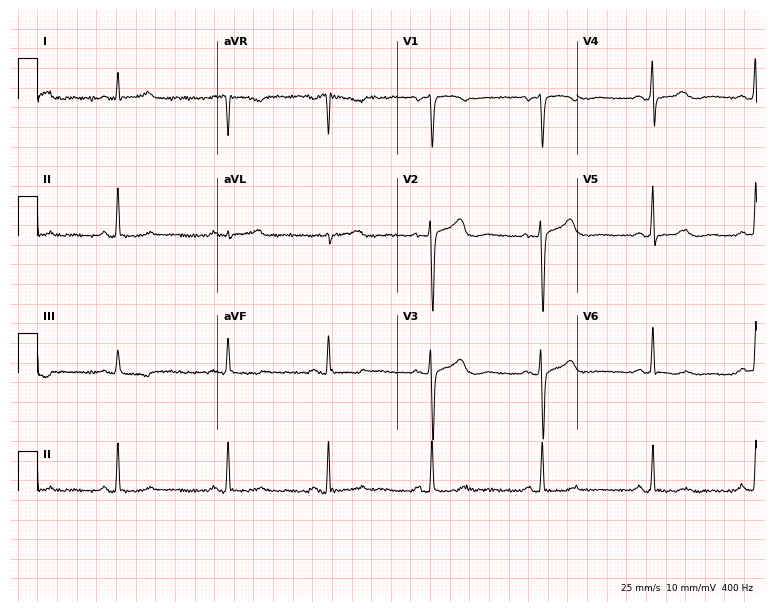
12-lead ECG (7.3-second recording at 400 Hz) from a 56-year-old female. Labelled as a normal ECG.